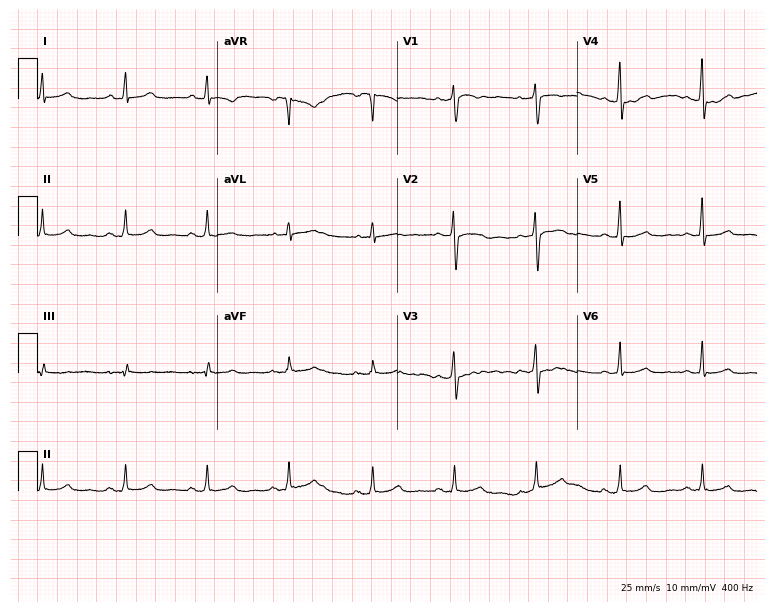
Electrocardiogram, a woman, 40 years old. Overall reading on record: normal ECG.